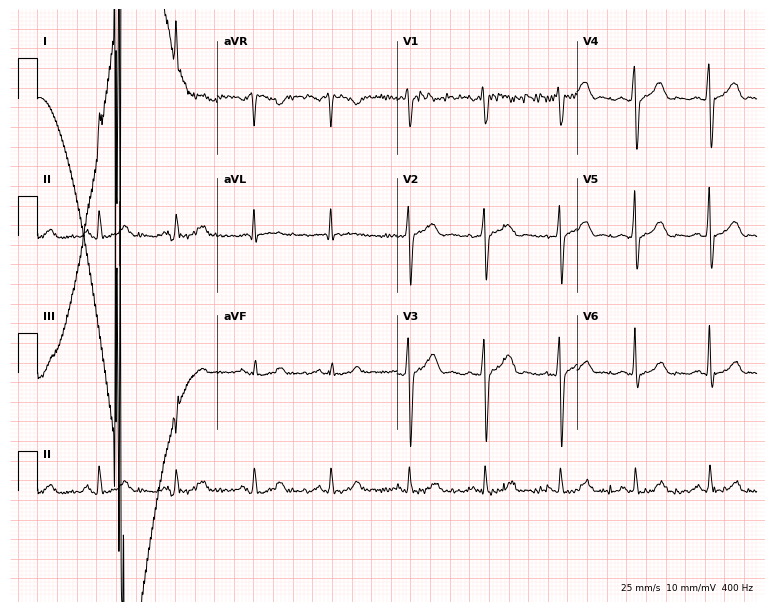
ECG — a male patient, 52 years old. Labelled as a normal ECG.